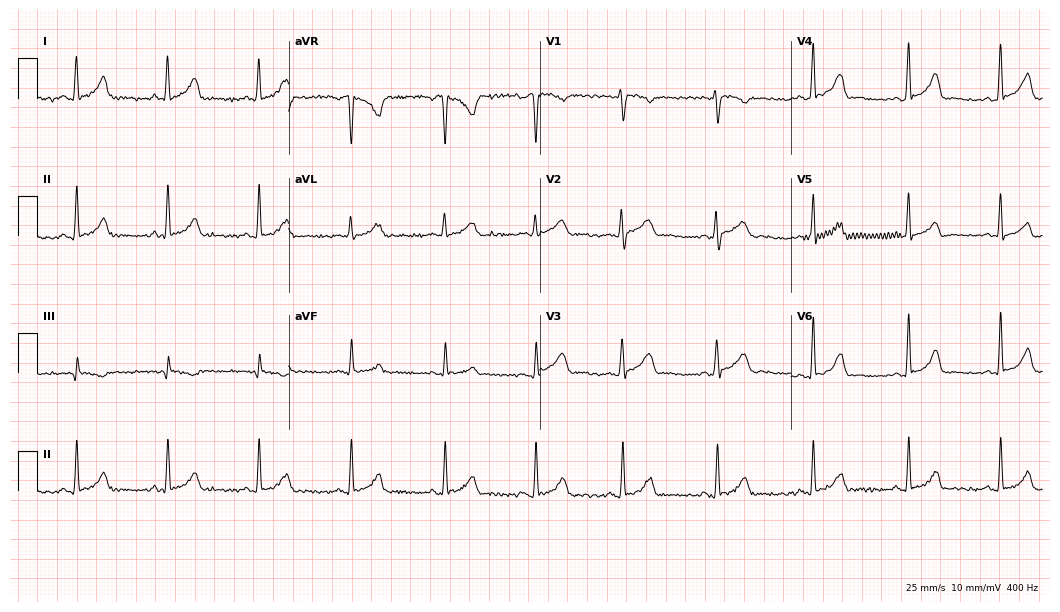
12-lead ECG (10.2-second recording at 400 Hz) from a female, 27 years old. Labelled as a normal ECG.